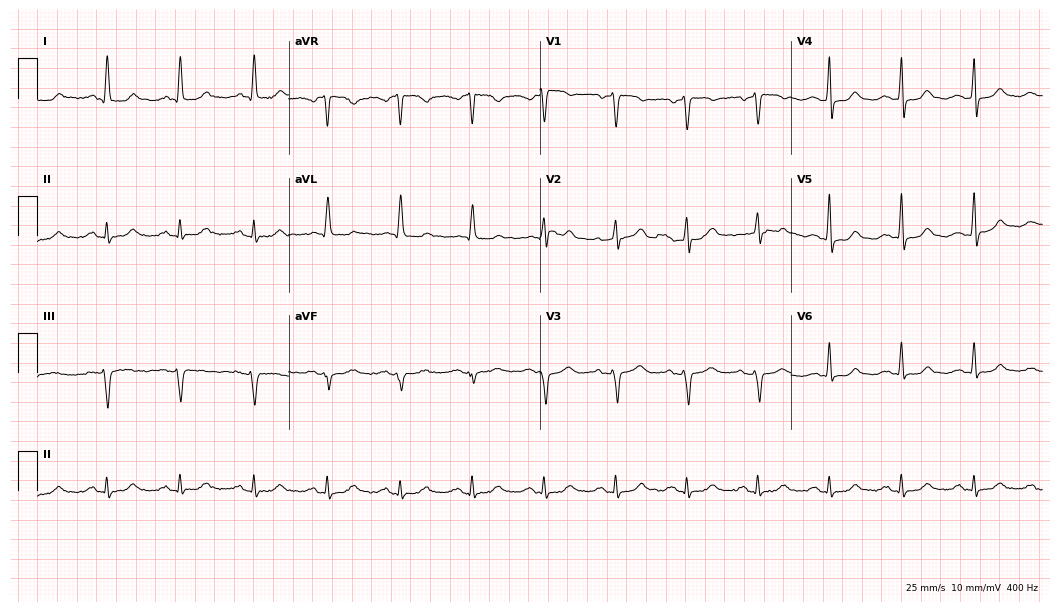
Electrocardiogram (10.2-second recording at 400 Hz), a 56-year-old female patient. Of the six screened findings (first-degree AV block, right bundle branch block (RBBB), left bundle branch block (LBBB), sinus bradycardia, atrial fibrillation (AF), sinus tachycardia), none is recorded.